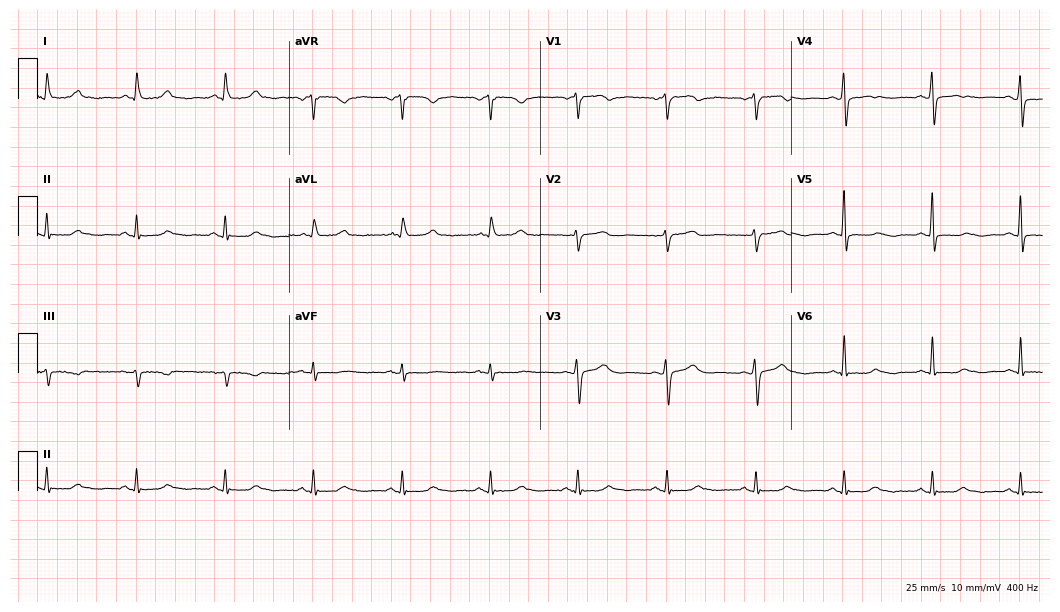
12-lead ECG from a 63-year-old woman. No first-degree AV block, right bundle branch block, left bundle branch block, sinus bradycardia, atrial fibrillation or sinus tachycardia recorded for this tracing.